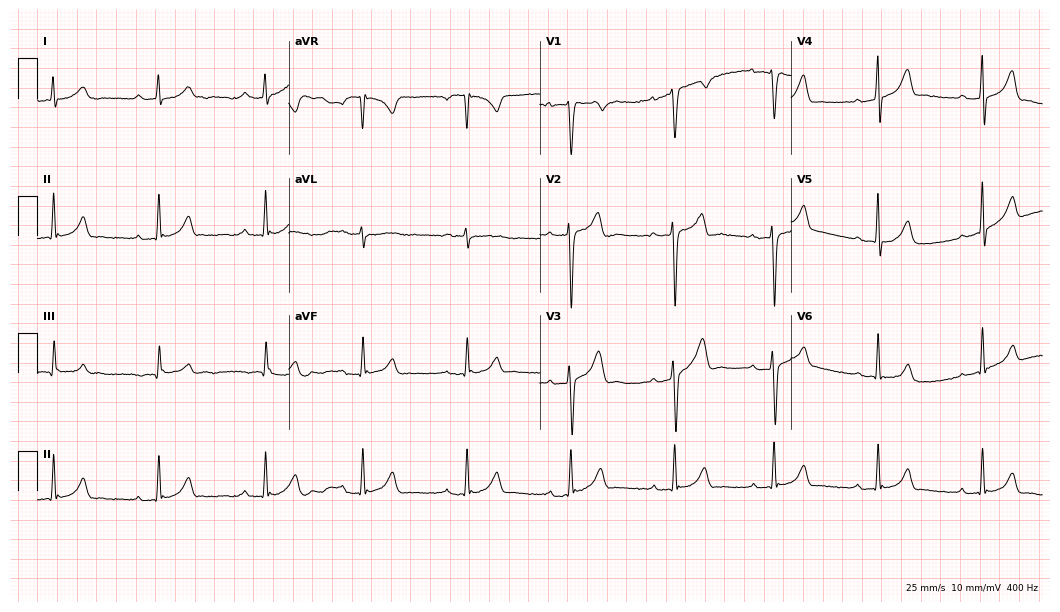
Electrocardiogram, a 19-year-old man. Overall reading on record: normal ECG.